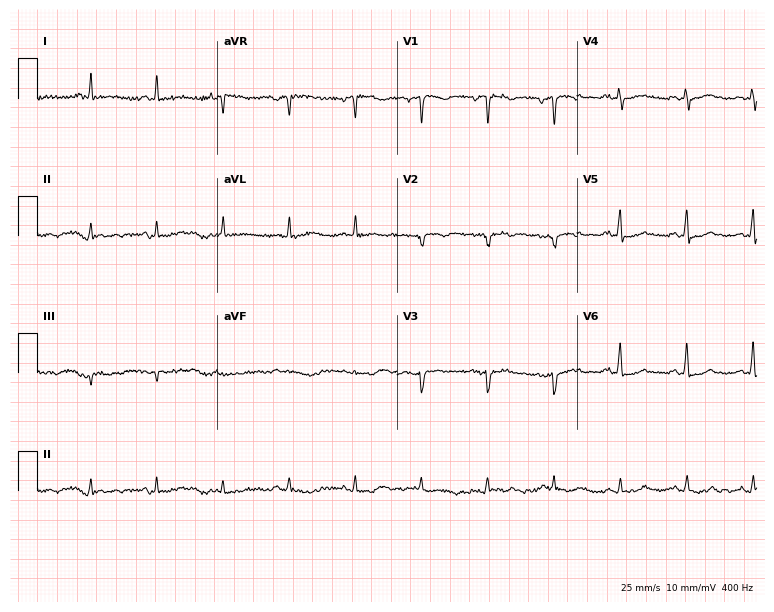
Resting 12-lead electrocardiogram. Patient: a man, 65 years old. None of these six findings is recorded: first-degree AV block, right bundle branch block (RBBB), left bundle branch block (LBBB), sinus bradycardia, atrial fibrillation (AF), sinus tachycardia.